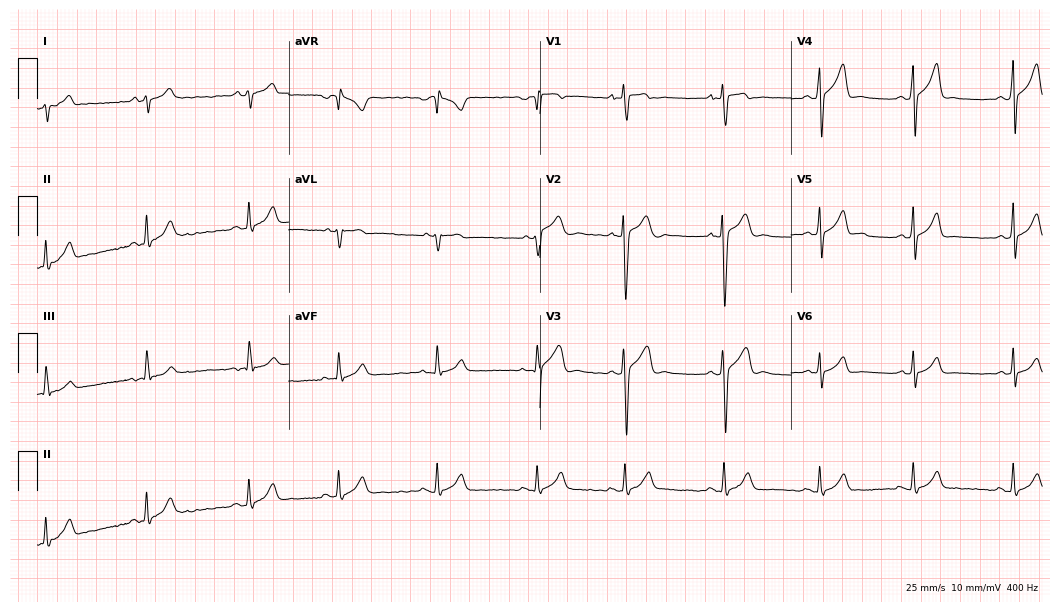
12-lead ECG from a male patient, 17 years old (10.2-second recording at 400 Hz). No first-degree AV block, right bundle branch block (RBBB), left bundle branch block (LBBB), sinus bradycardia, atrial fibrillation (AF) or sinus tachycardia recorded for this tracing.